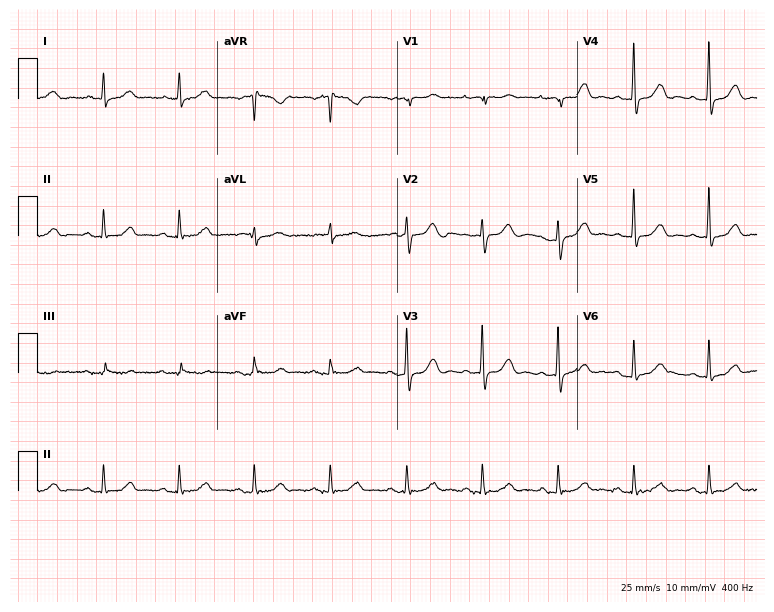
12-lead ECG from a female, 86 years old (7.3-second recording at 400 Hz). Recorded interpretation: within normal limits.